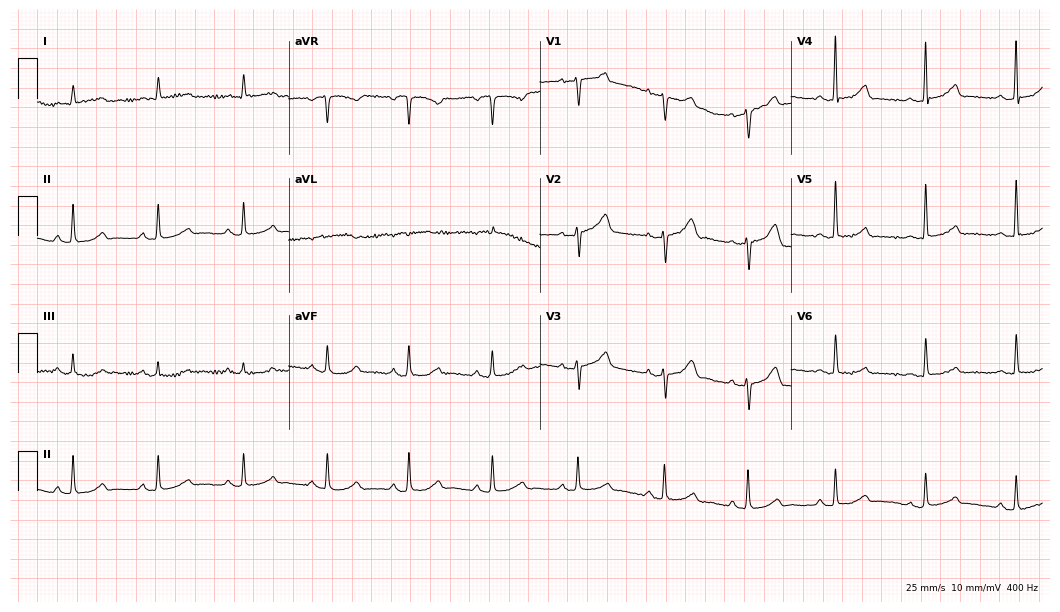
12-lead ECG from a female patient, 72 years old. Recorded interpretation: within normal limits.